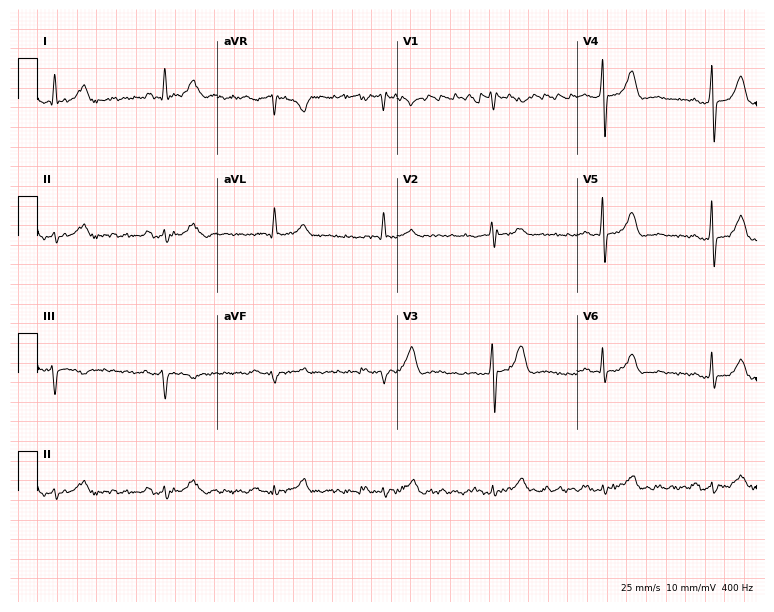
12-lead ECG (7.3-second recording at 400 Hz) from a male, 74 years old. Screened for six findings — first-degree AV block, right bundle branch block, left bundle branch block, sinus bradycardia, atrial fibrillation, sinus tachycardia — none is recorded. Only these six findings were labelled.